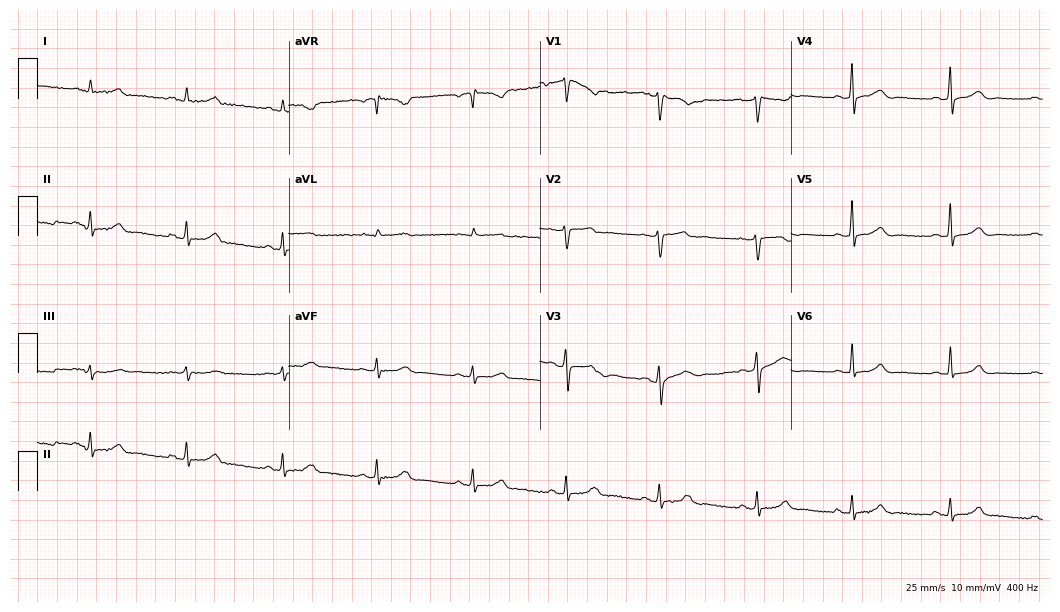
Resting 12-lead electrocardiogram. Patient: a female, 49 years old. Read as a normal ECG.